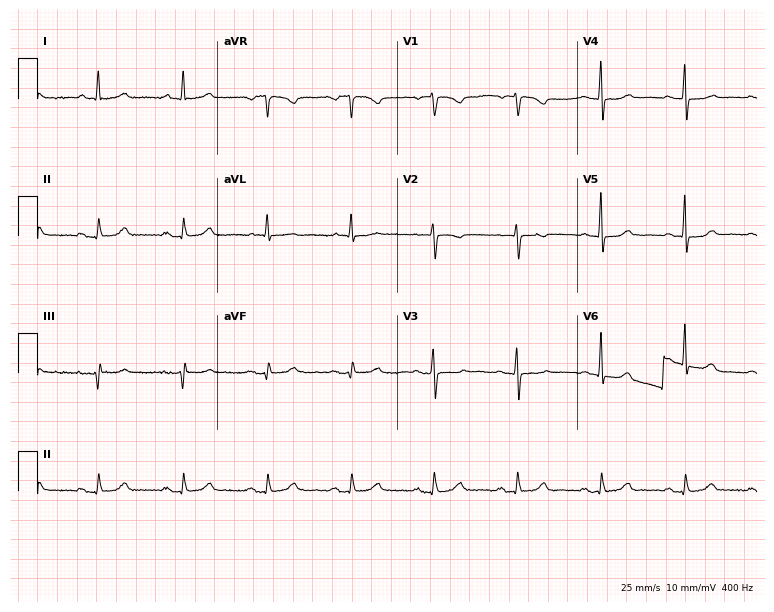
ECG — a female, 72 years old. Screened for six findings — first-degree AV block, right bundle branch block (RBBB), left bundle branch block (LBBB), sinus bradycardia, atrial fibrillation (AF), sinus tachycardia — none is recorded. Only these six findings were labelled.